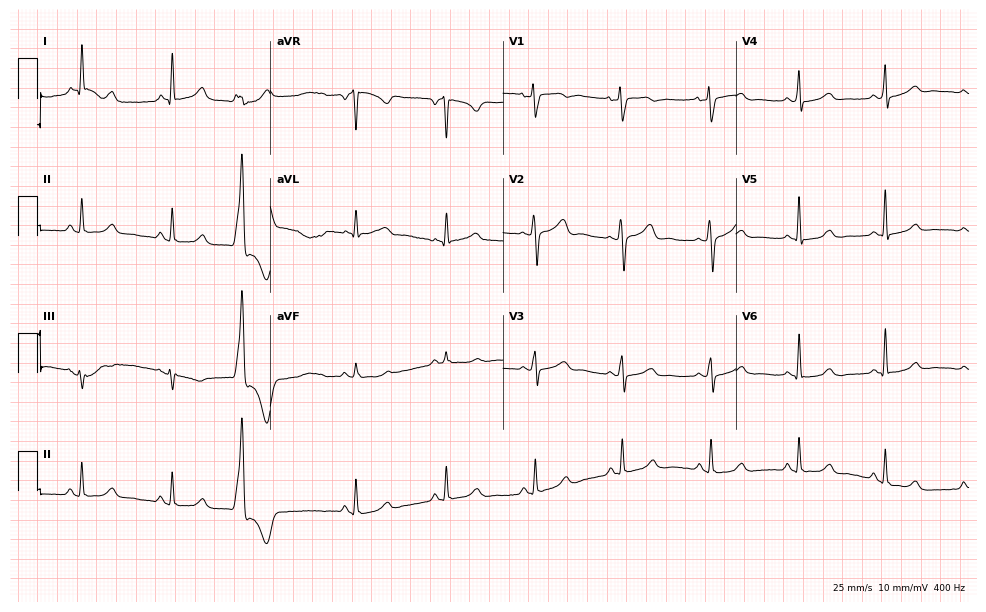
Electrocardiogram (9.5-second recording at 400 Hz), a 60-year-old woman. Of the six screened findings (first-degree AV block, right bundle branch block, left bundle branch block, sinus bradycardia, atrial fibrillation, sinus tachycardia), none is recorded.